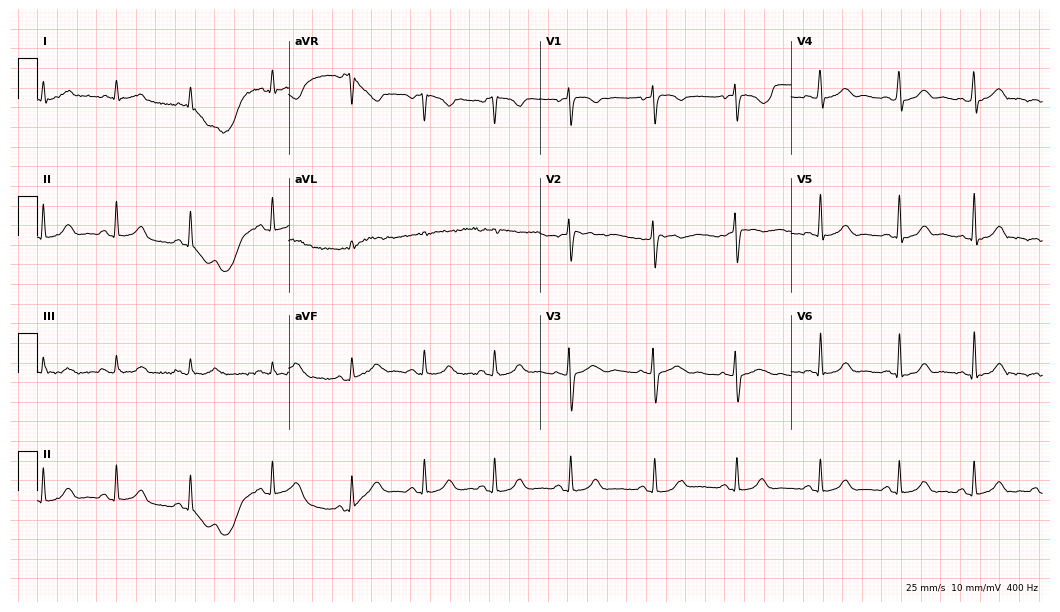
Electrocardiogram (10.2-second recording at 400 Hz), a 34-year-old woman. Overall reading on record: normal ECG.